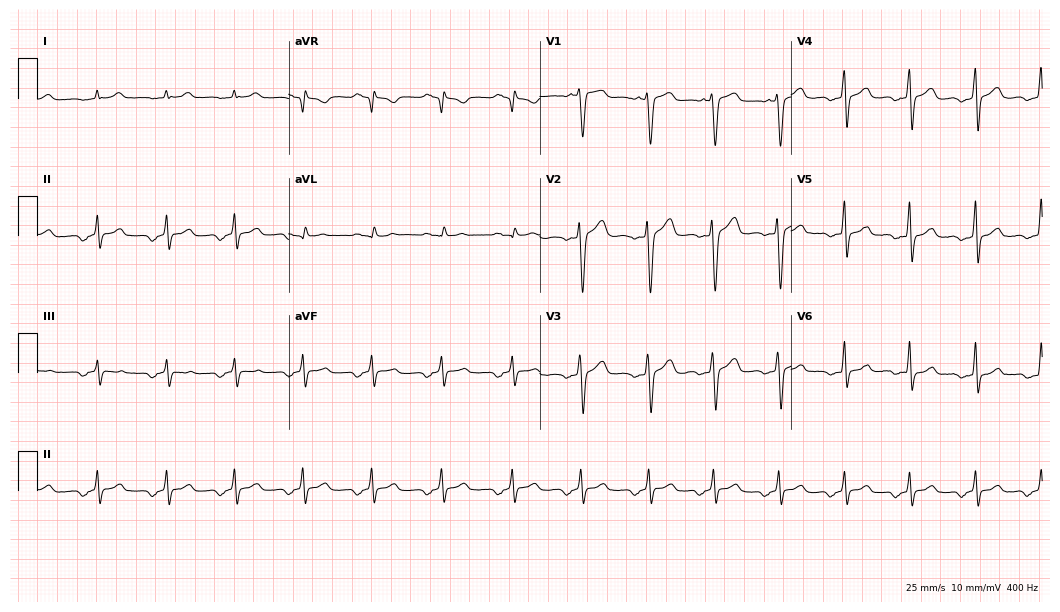
Electrocardiogram, a male patient, 35 years old. Of the six screened findings (first-degree AV block, right bundle branch block (RBBB), left bundle branch block (LBBB), sinus bradycardia, atrial fibrillation (AF), sinus tachycardia), none is recorded. Findings outside these six are not listed.